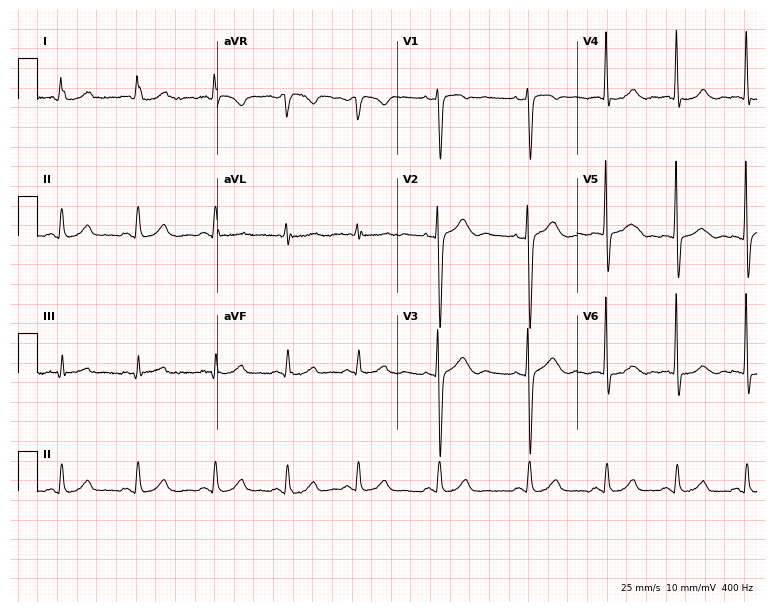
Standard 12-lead ECG recorded from a female patient, 29 years old. Read as a normal ECG.